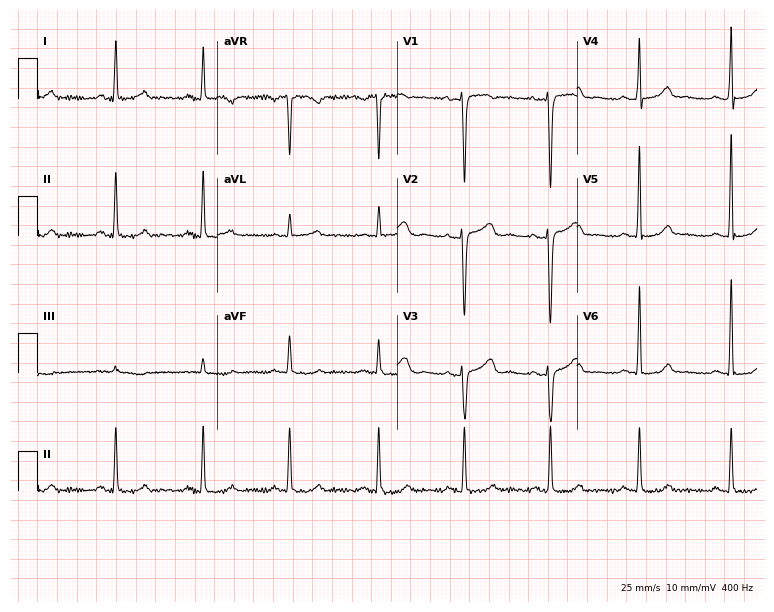
Electrocardiogram (7.3-second recording at 400 Hz), a woman, 42 years old. Of the six screened findings (first-degree AV block, right bundle branch block (RBBB), left bundle branch block (LBBB), sinus bradycardia, atrial fibrillation (AF), sinus tachycardia), none is recorded. Other findings, if any, are not listed.